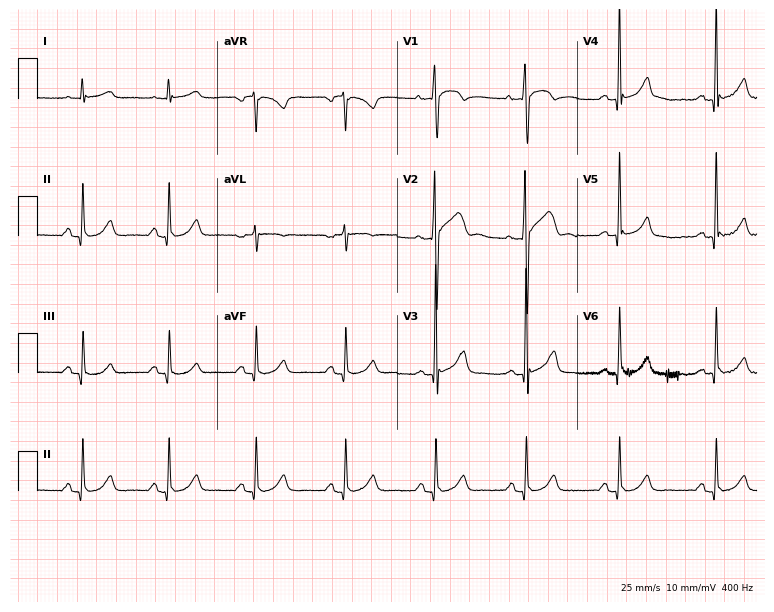
Resting 12-lead electrocardiogram (7.3-second recording at 400 Hz). Patient: a 63-year-old man. Read as a normal ECG.